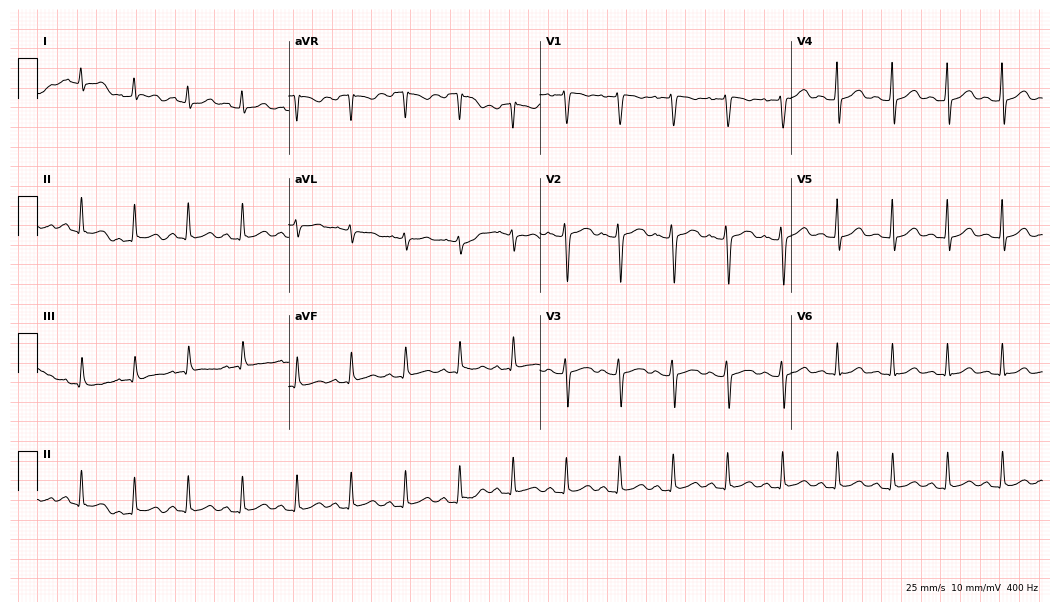
ECG — a 22-year-old female patient. Findings include sinus tachycardia (a sinus rate of 100 beats per minute or more).